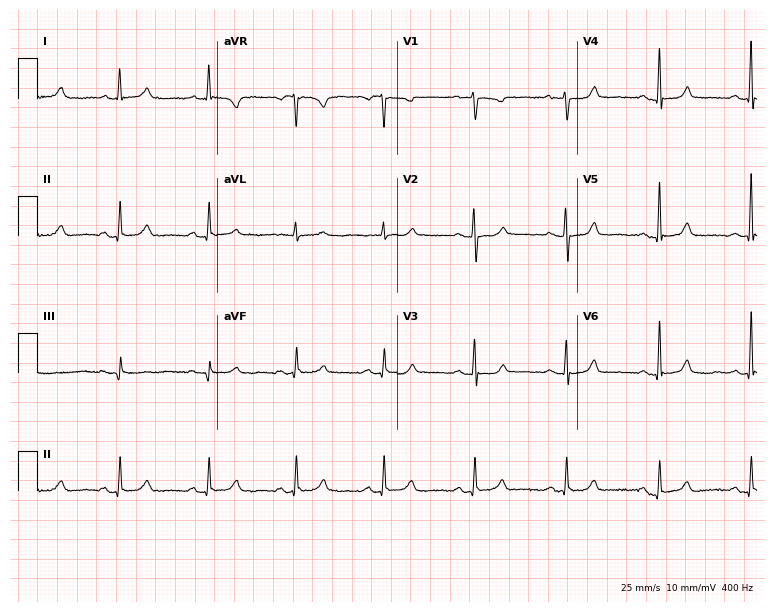
Standard 12-lead ECG recorded from a 77-year-old female (7.3-second recording at 400 Hz). Read as a normal ECG.